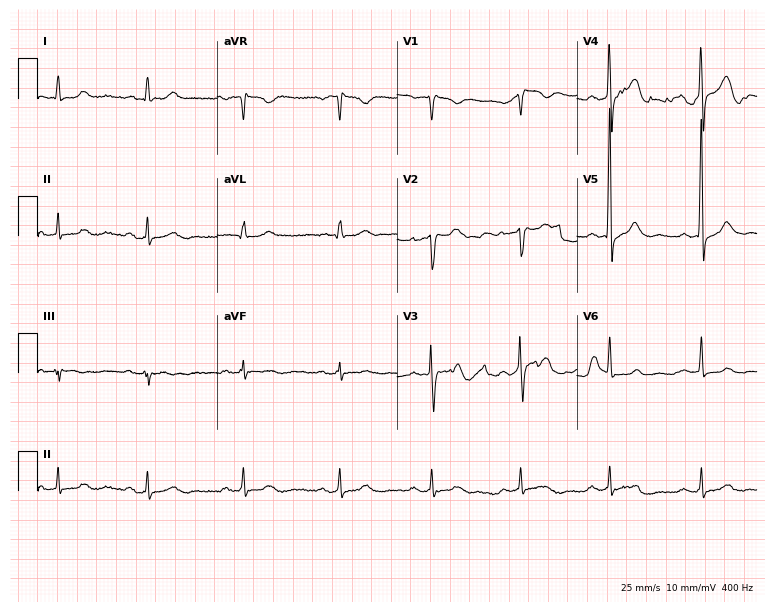
12-lead ECG from a 53-year-old male patient. Recorded interpretation: within normal limits.